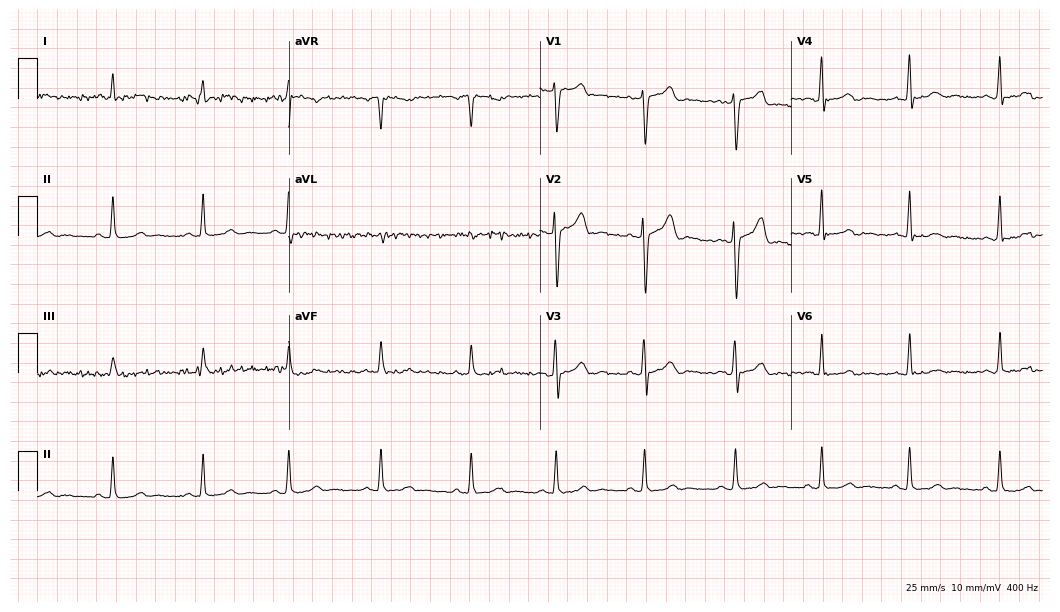
Electrocardiogram (10.2-second recording at 400 Hz), a 46-year-old man. Of the six screened findings (first-degree AV block, right bundle branch block (RBBB), left bundle branch block (LBBB), sinus bradycardia, atrial fibrillation (AF), sinus tachycardia), none is recorded.